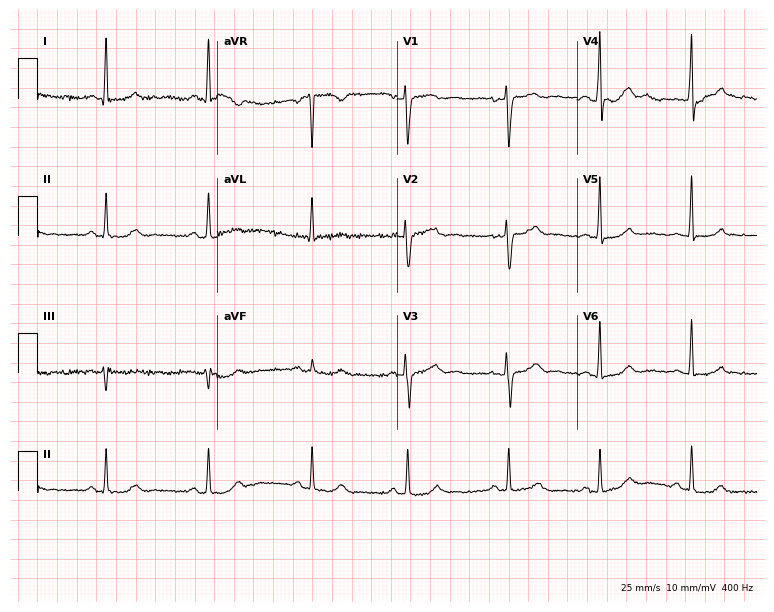
Resting 12-lead electrocardiogram. Patient: a 38-year-old woman. None of these six findings is recorded: first-degree AV block, right bundle branch block, left bundle branch block, sinus bradycardia, atrial fibrillation, sinus tachycardia. Other findings, if any, are not listed.